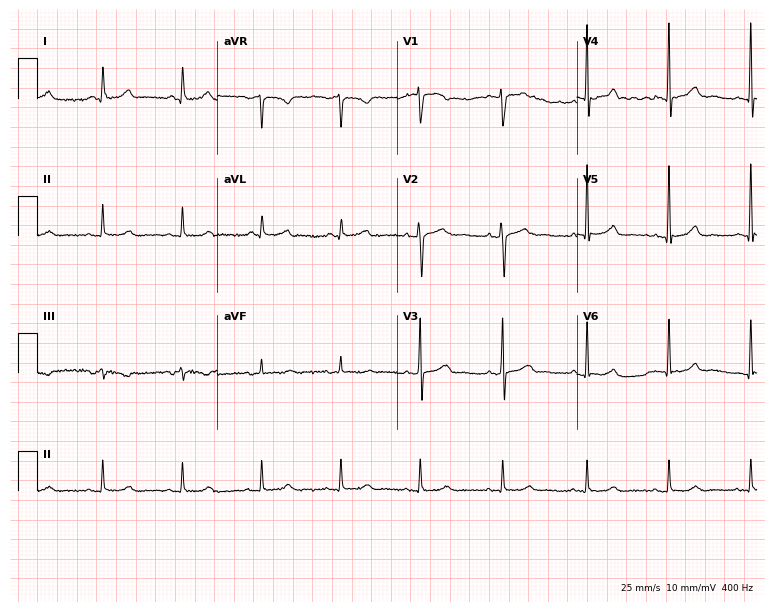
12-lead ECG from a 59-year-old female (7.3-second recording at 400 Hz). Recorded interpretation: within normal limits.